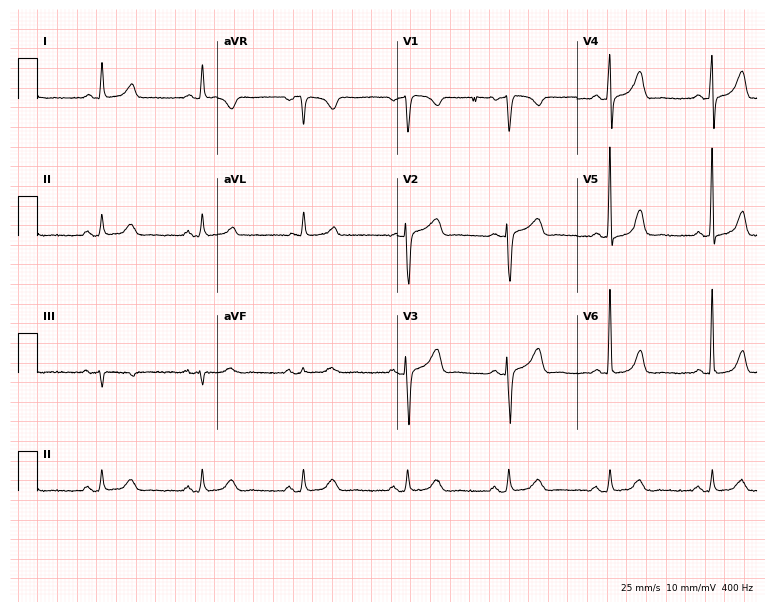
ECG — a woman, 68 years old. Labelled as a normal ECG.